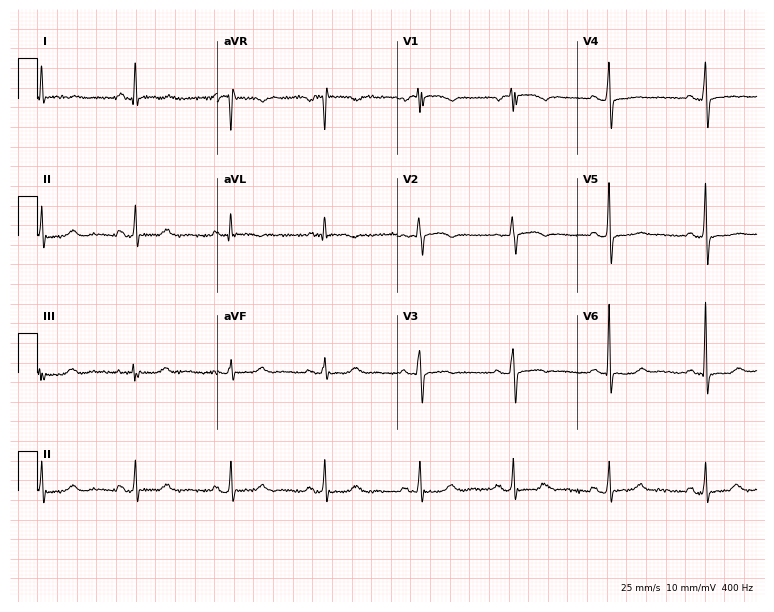
12-lead ECG from a 71-year-old female patient. Screened for six findings — first-degree AV block, right bundle branch block, left bundle branch block, sinus bradycardia, atrial fibrillation, sinus tachycardia — none is recorded.